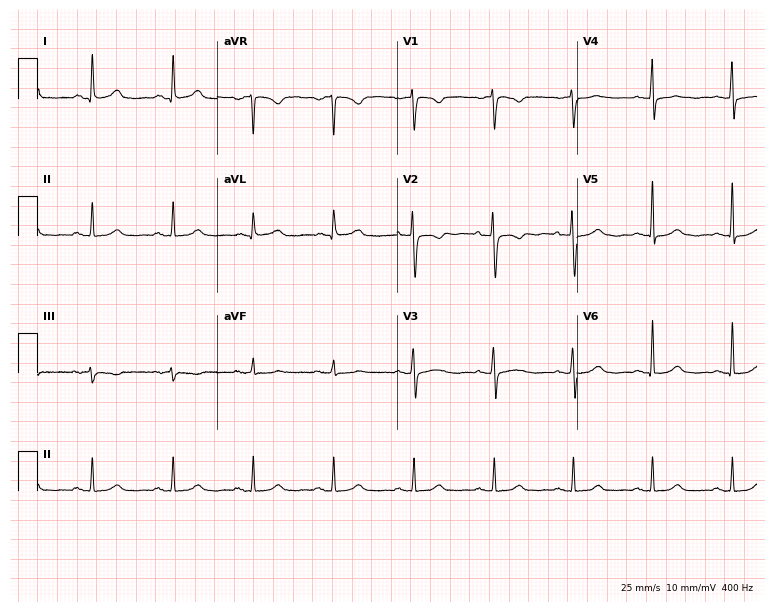
Electrocardiogram, a 55-year-old female. Of the six screened findings (first-degree AV block, right bundle branch block, left bundle branch block, sinus bradycardia, atrial fibrillation, sinus tachycardia), none is recorded.